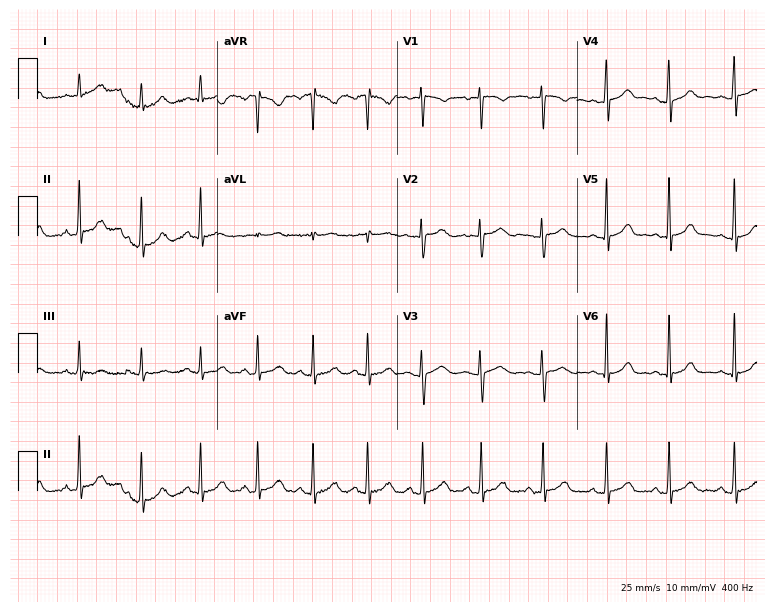
Standard 12-lead ECG recorded from a 26-year-old woman. Read as a normal ECG.